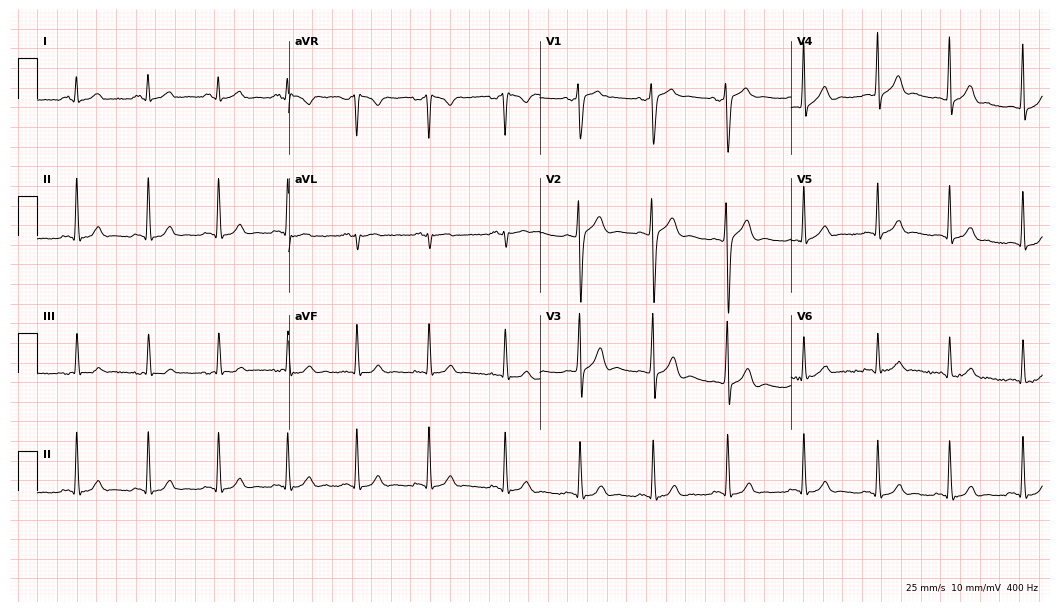
12-lead ECG from a male patient, 22 years old. Screened for six findings — first-degree AV block, right bundle branch block, left bundle branch block, sinus bradycardia, atrial fibrillation, sinus tachycardia — none is recorded.